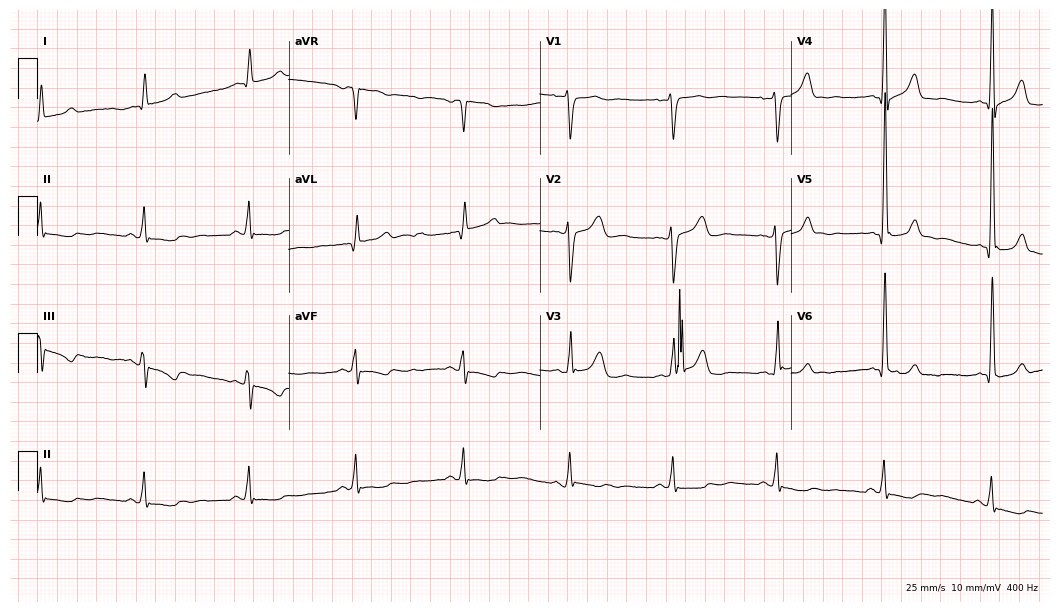
Electrocardiogram (10.2-second recording at 400 Hz), a 50-year-old male. Of the six screened findings (first-degree AV block, right bundle branch block, left bundle branch block, sinus bradycardia, atrial fibrillation, sinus tachycardia), none is recorded.